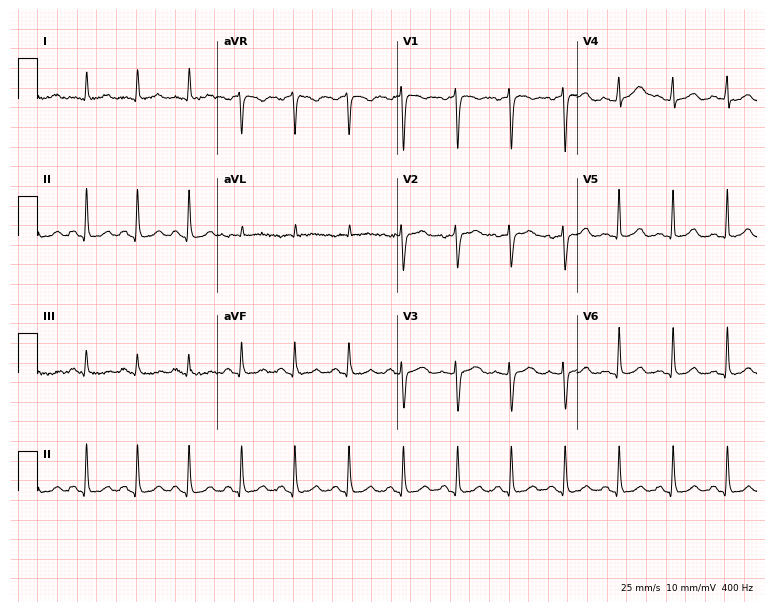
12-lead ECG from a 39-year-old female patient. Findings include sinus tachycardia (a sinus rate of 100 beats per minute or more).